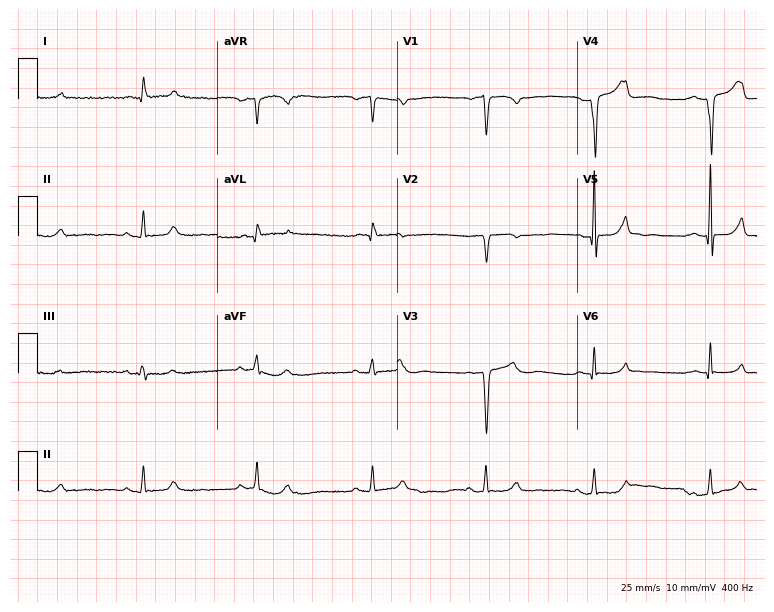
Standard 12-lead ECG recorded from a male, 49 years old. None of these six findings is recorded: first-degree AV block, right bundle branch block, left bundle branch block, sinus bradycardia, atrial fibrillation, sinus tachycardia.